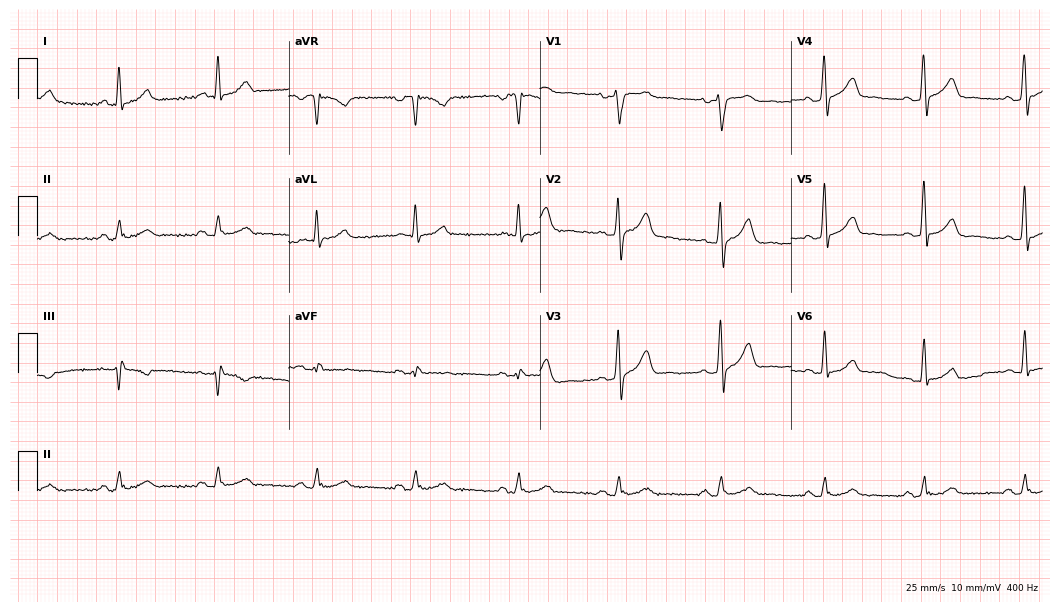
12-lead ECG (10.2-second recording at 400 Hz) from a male, 51 years old. Labelled as a normal ECG.